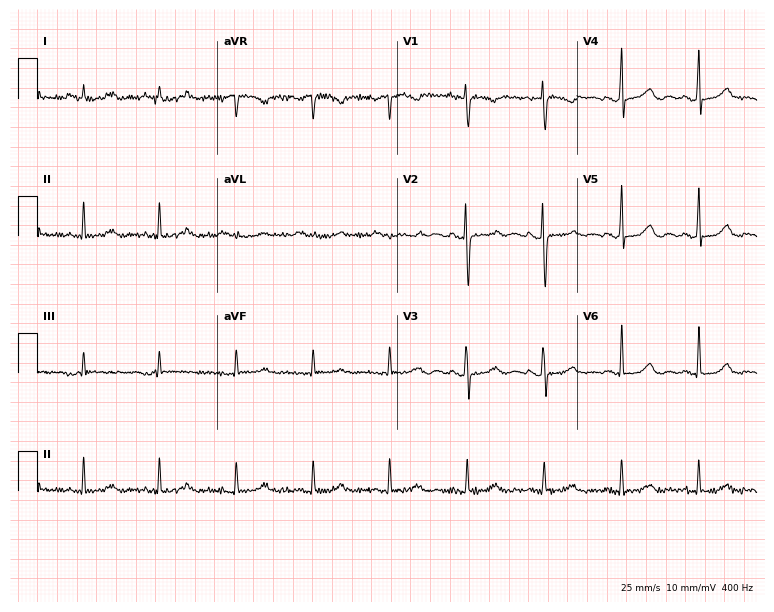
Resting 12-lead electrocardiogram (7.3-second recording at 400 Hz). Patient: a 37-year-old woman. None of these six findings is recorded: first-degree AV block, right bundle branch block, left bundle branch block, sinus bradycardia, atrial fibrillation, sinus tachycardia.